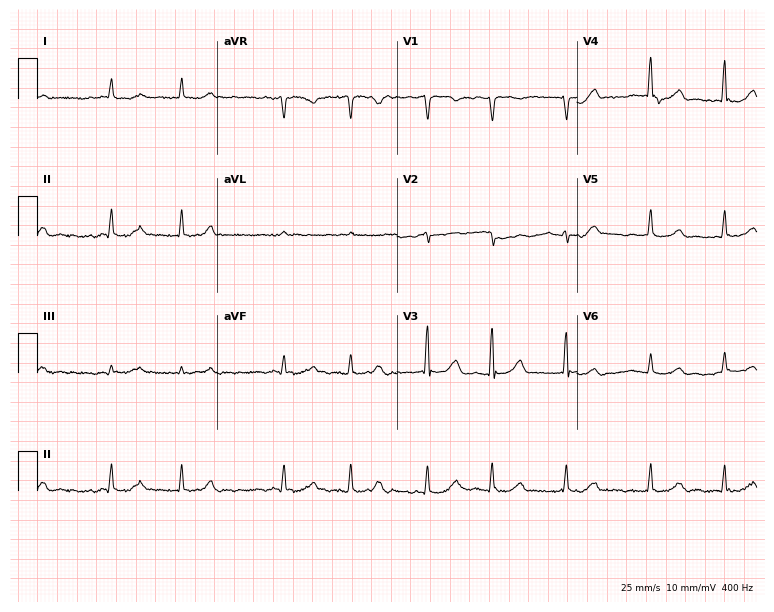
ECG (7.3-second recording at 400 Hz) — a woman, 57 years old. Findings include atrial fibrillation.